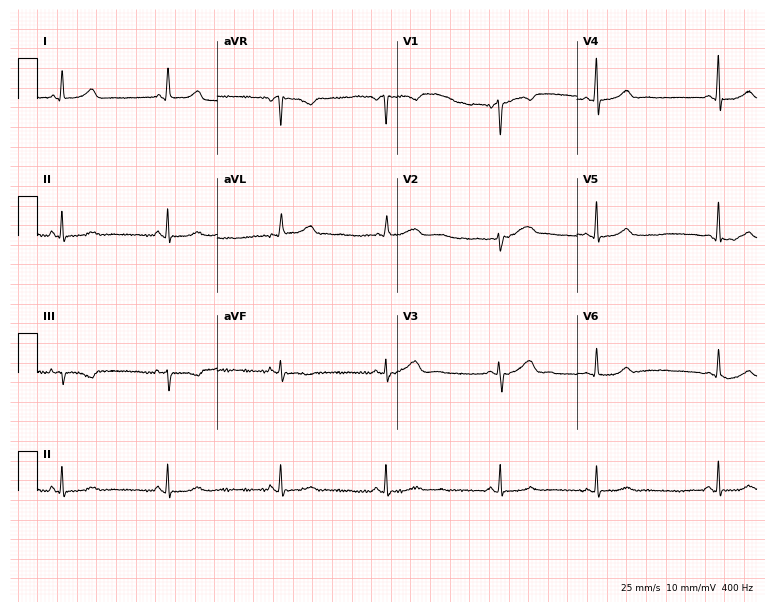
Standard 12-lead ECG recorded from a 38-year-old woman (7.3-second recording at 400 Hz). None of these six findings is recorded: first-degree AV block, right bundle branch block, left bundle branch block, sinus bradycardia, atrial fibrillation, sinus tachycardia. Only these six findings were labelled.